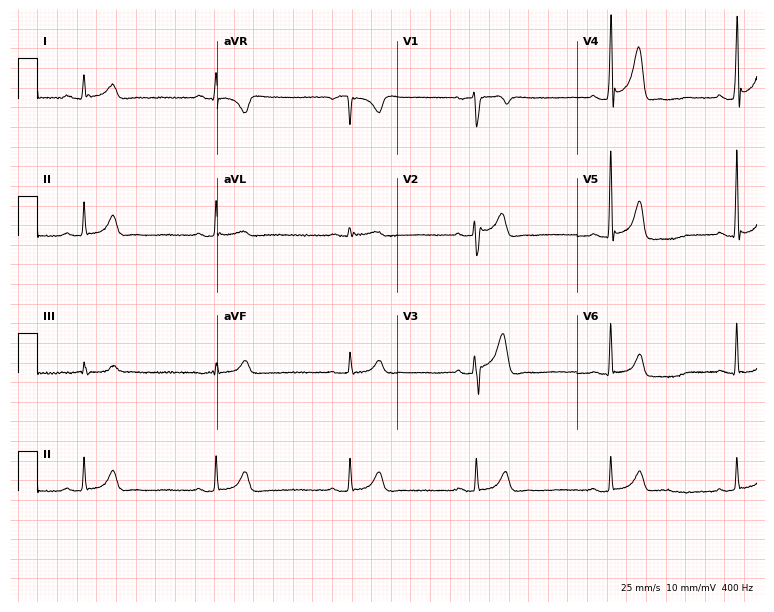
12-lead ECG (7.3-second recording at 400 Hz) from a male, 37 years old. Screened for six findings — first-degree AV block, right bundle branch block, left bundle branch block, sinus bradycardia, atrial fibrillation, sinus tachycardia — none is recorded. Only these six findings were labelled.